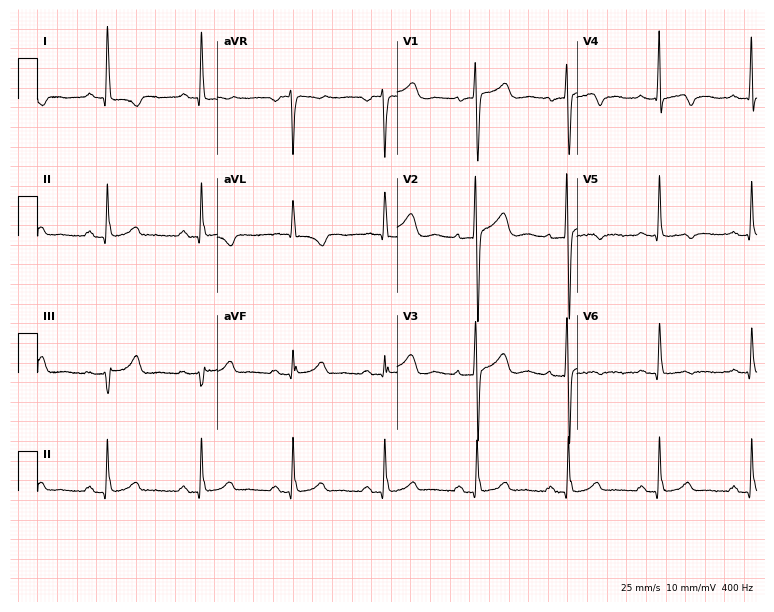
12-lead ECG from a female patient, 58 years old. No first-degree AV block, right bundle branch block (RBBB), left bundle branch block (LBBB), sinus bradycardia, atrial fibrillation (AF) or sinus tachycardia recorded for this tracing.